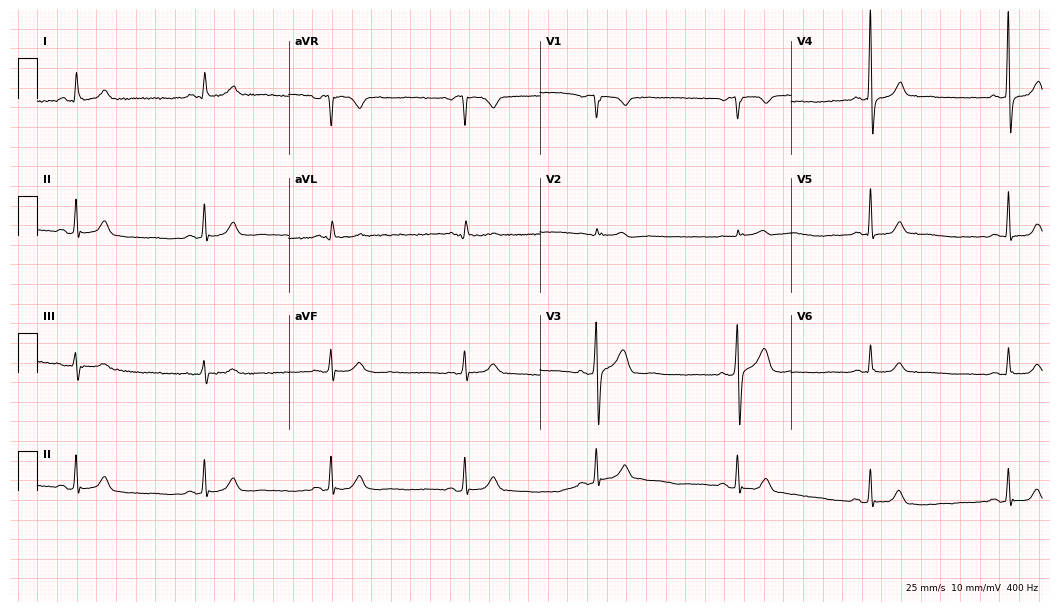
12-lead ECG from a male, 59 years old (10.2-second recording at 400 Hz). Shows sinus bradycardia (a sinus rate of 50 beats per minute or less).